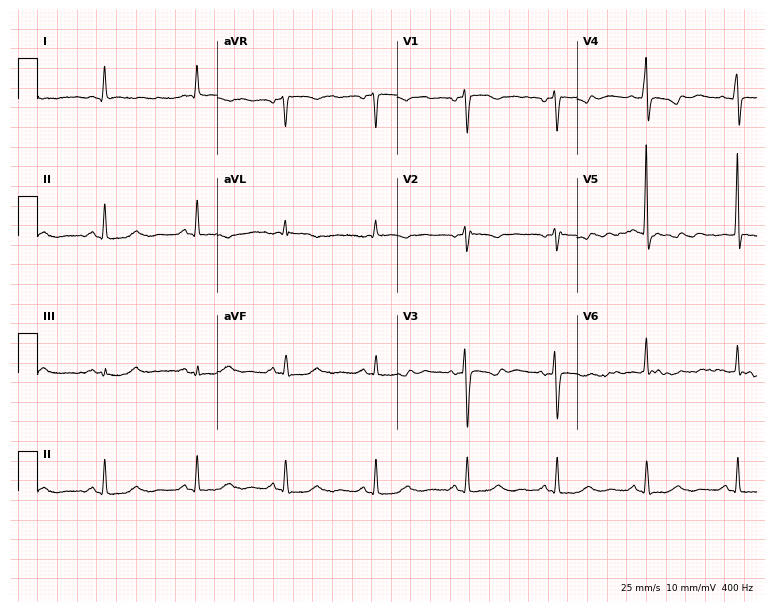
Electrocardiogram, a female patient, 45 years old. Of the six screened findings (first-degree AV block, right bundle branch block (RBBB), left bundle branch block (LBBB), sinus bradycardia, atrial fibrillation (AF), sinus tachycardia), none is recorded. Findings outside these six are not listed.